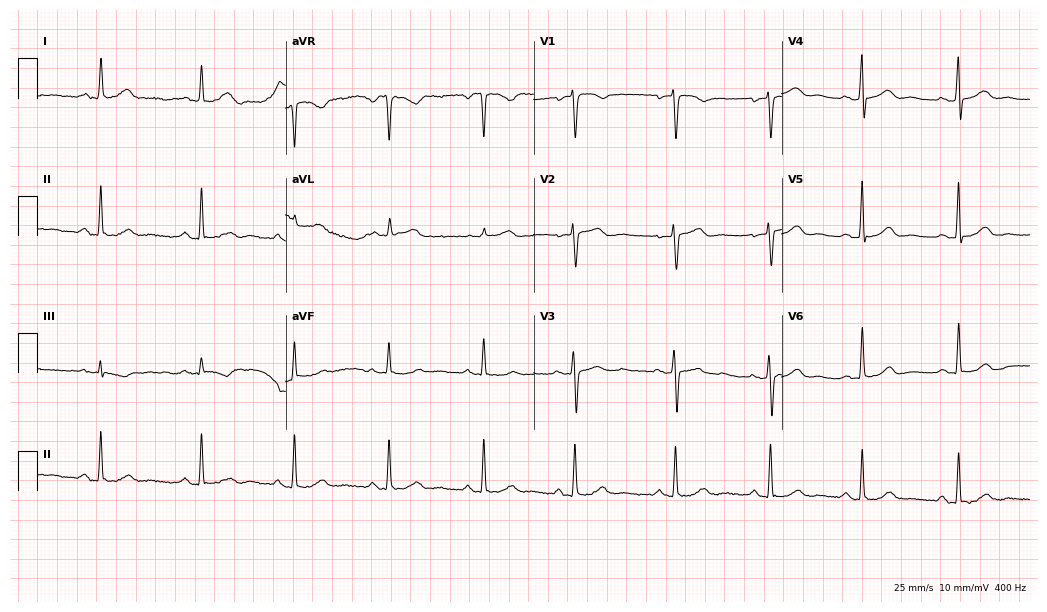
12-lead ECG (10.1-second recording at 400 Hz) from a female, 65 years old. Screened for six findings — first-degree AV block, right bundle branch block (RBBB), left bundle branch block (LBBB), sinus bradycardia, atrial fibrillation (AF), sinus tachycardia — none is recorded.